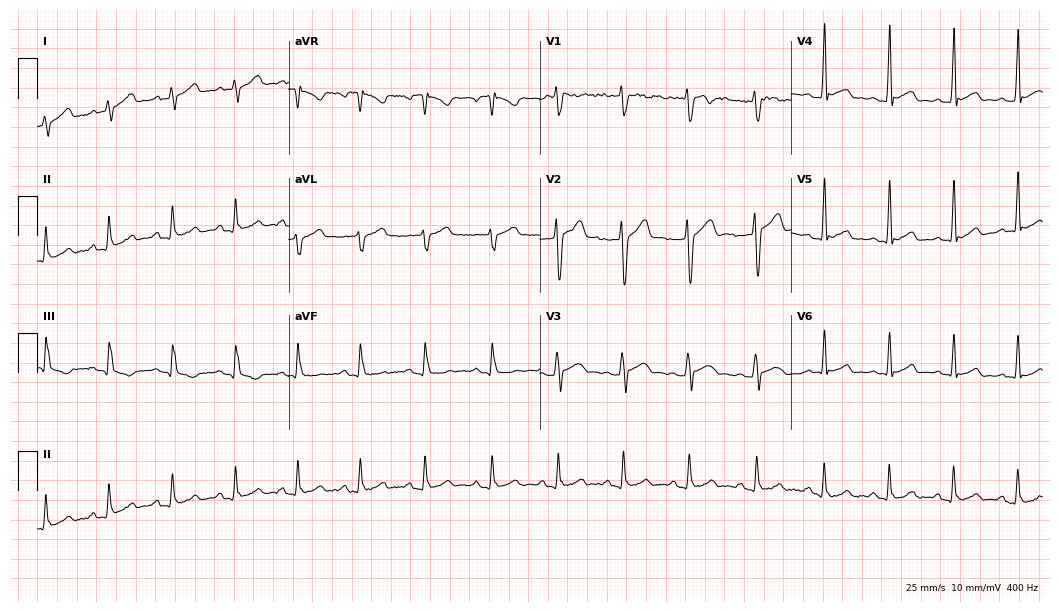
Electrocardiogram (10.2-second recording at 400 Hz), a 24-year-old male. Of the six screened findings (first-degree AV block, right bundle branch block (RBBB), left bundle branch block (LBBB), sinus bradycardia, atrial fibrillation (AF), sinus tachycardia), none is recorded. Only these six findings were labelled.